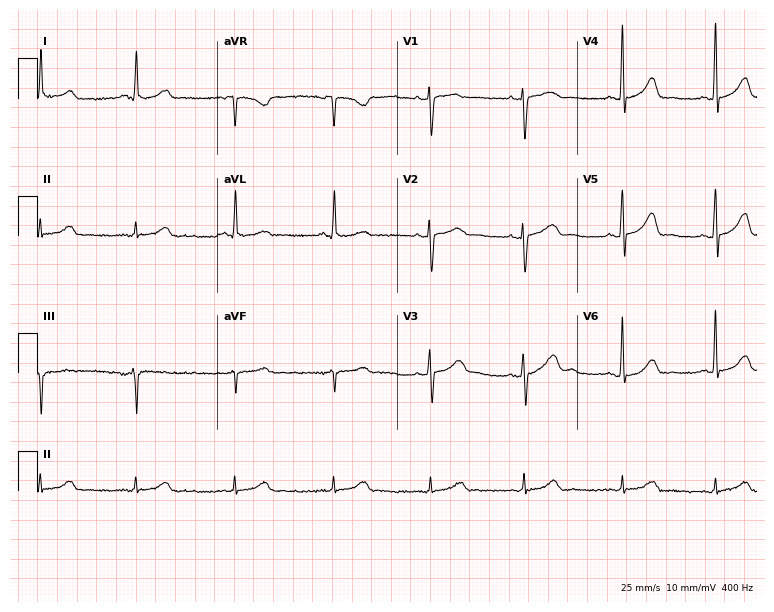
12-lead ECG from a female, 55 years old. Labelled as a normal ECG.